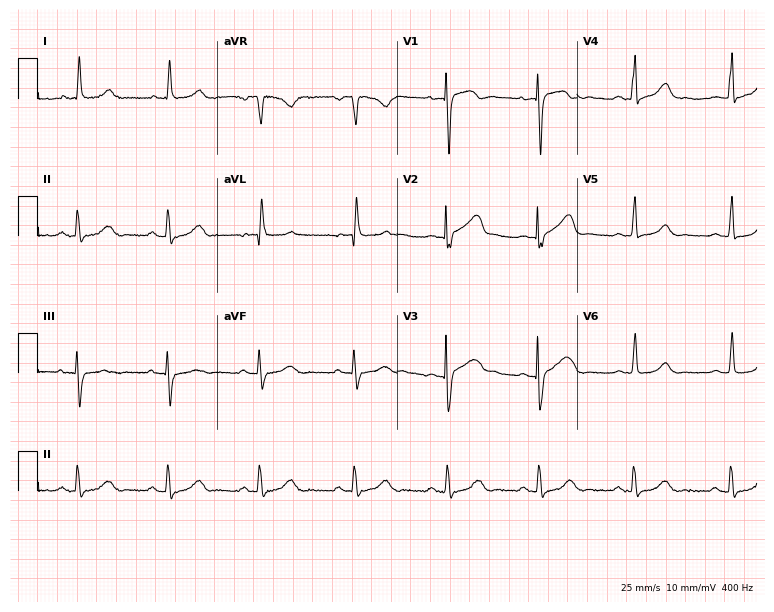
Resting 12-lead electrocardiogram. Patient: a 74-year-old female. None of these six findings is recorded: first-degree AV block, right bundle branch block, left bundle branch block, sinus bradycardia, atrial fibrillation, sinus tachycardia. Findings outside these six are not listed.